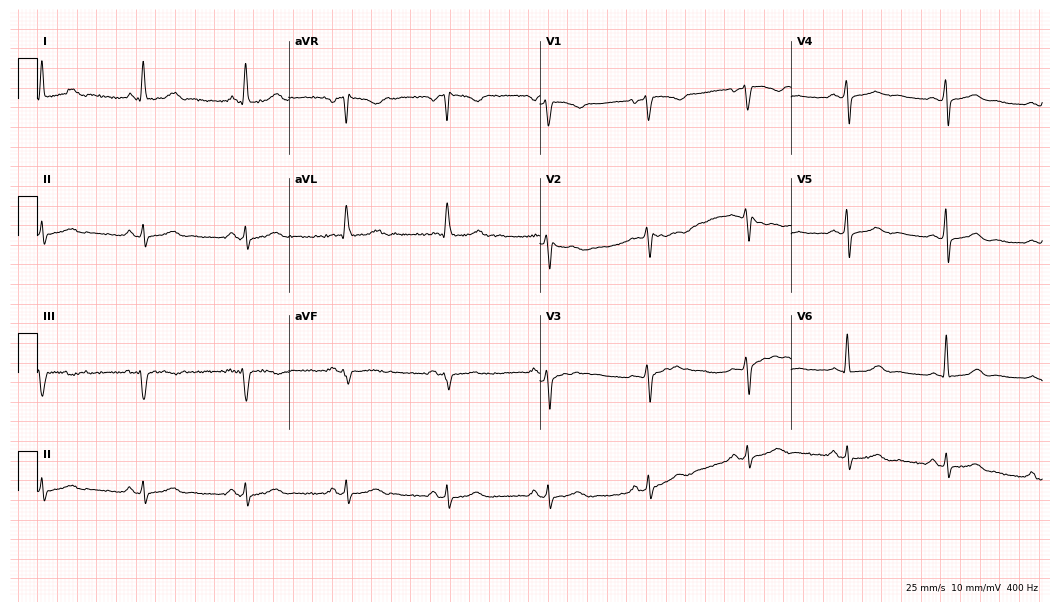
Electrocardiogram (10.2-second recording at 400 Hz), a 58-year-old female patient. Overall reading on record: normal ECG.